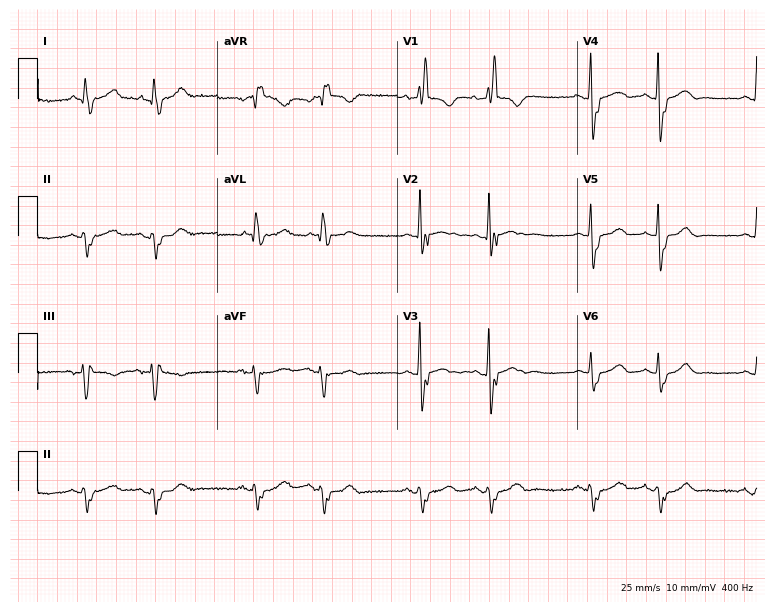
ECG (7.3-second recording at 400 Hz) — an 81-year-old male. Findings include right bundle branch block (RBBB).